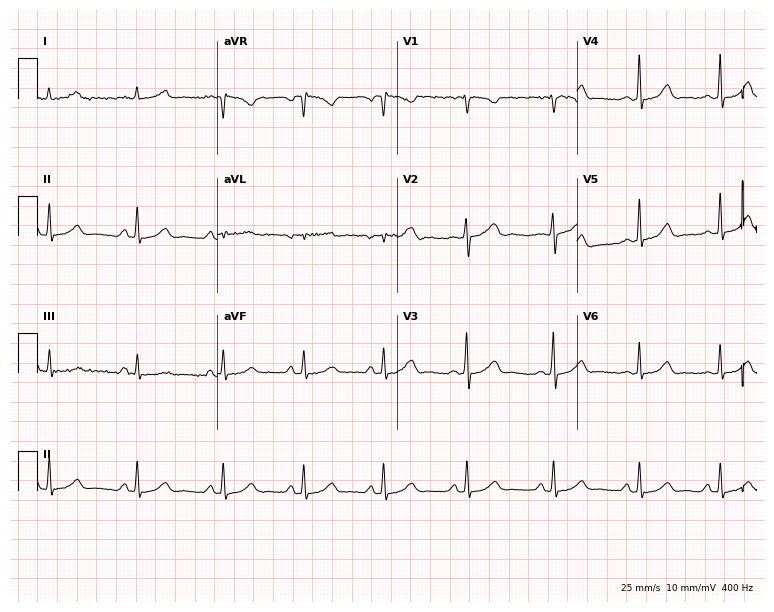
Resting 12-lead electrocardiogram (7.3-second recording at 400 Hz). Patient: a woman, 29 years old. None of these six findings is recorded: first-degree AV block, right bundle branch block (RBBB), left bundle branch block (LBBB), sinus bradycardia, atrial fibrillation (AF), sinus tachycardia.